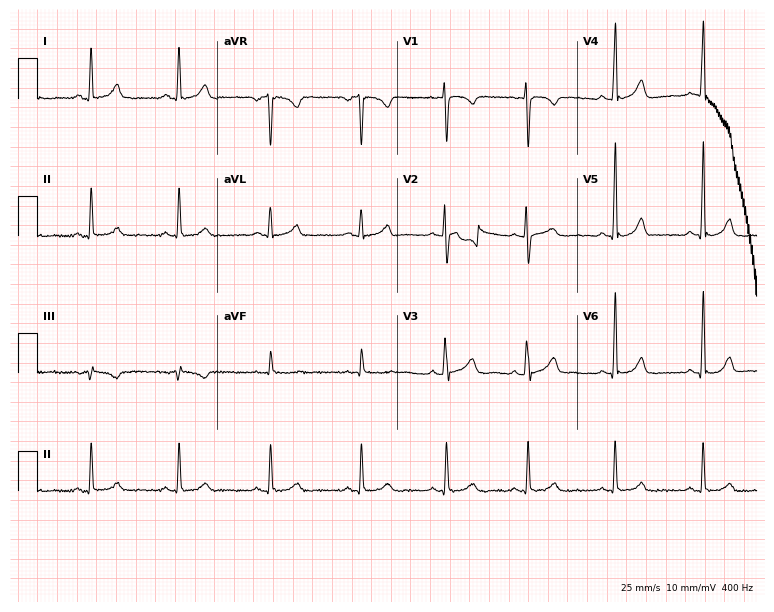
ECG — a female patient, 35 years old. Labelled as a normal ECG.